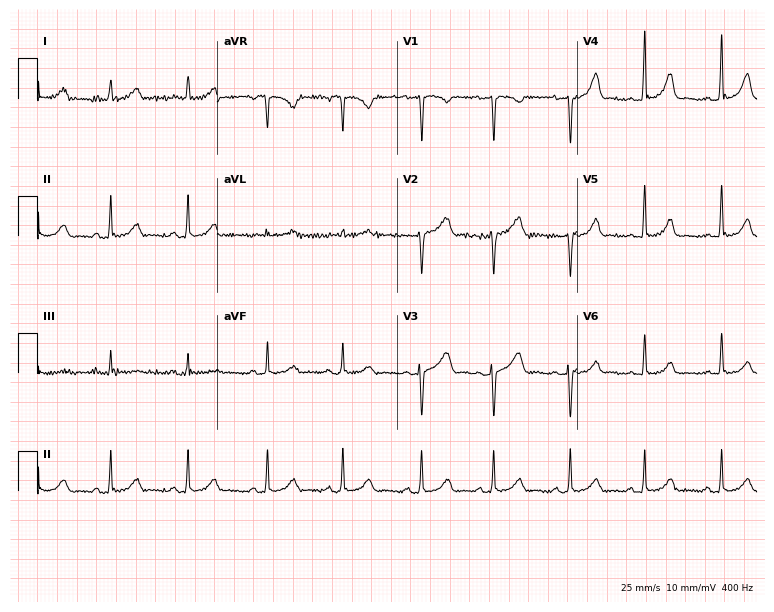
Standard 12-lead ECG recorded from a woman, 32 years old (7.3-second recording at 400 Hz). None of these six findings is recorded: first-degree AV block, right bundle branch block, left bundle branch block, sinus bradycardia, atrial fibrillation, sinus tachycardia.